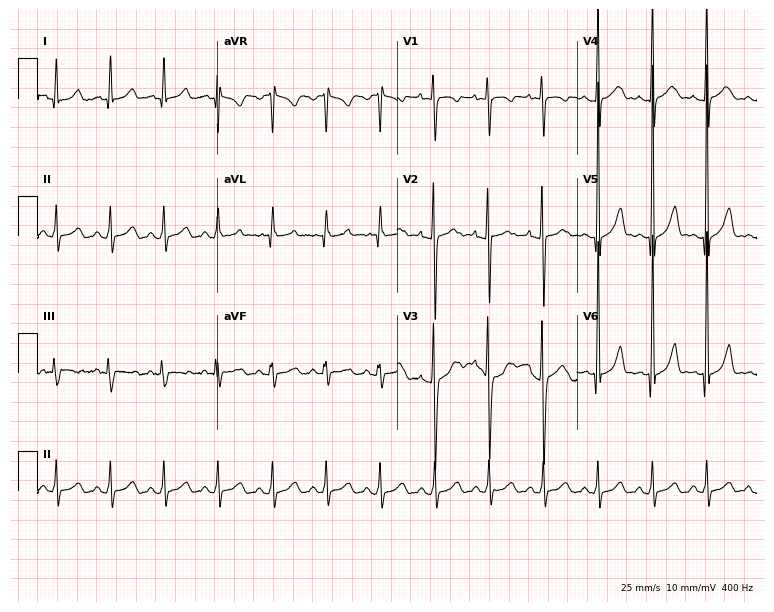
Standard 12-lead ECG recorded from a 21-year-old male (7.3-second recording at 400 Hz). None of these six findings is recorded: first-degree AV block, right bundle branch block, left bundle branch block, sinus bradycardia, atrial fibrillation, sinus tachycardia. Other findings, if any, are not listed.